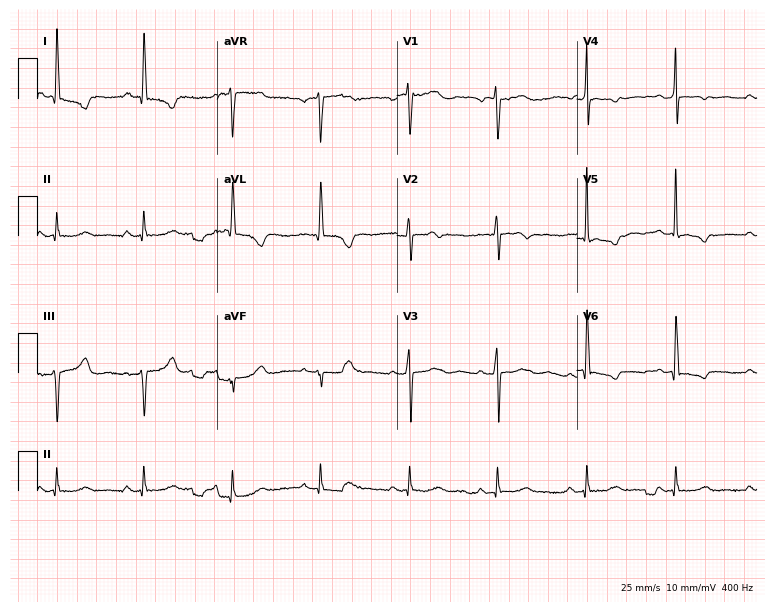
ECG — a female, 56 years old. Screened for six findings — first-degree AV block, right bundle branch block, left bundle branch block, sinus bradycardia, atrial fibrillation, sinus tachycardia — none is recorded. Other findings, if any, are not listed.